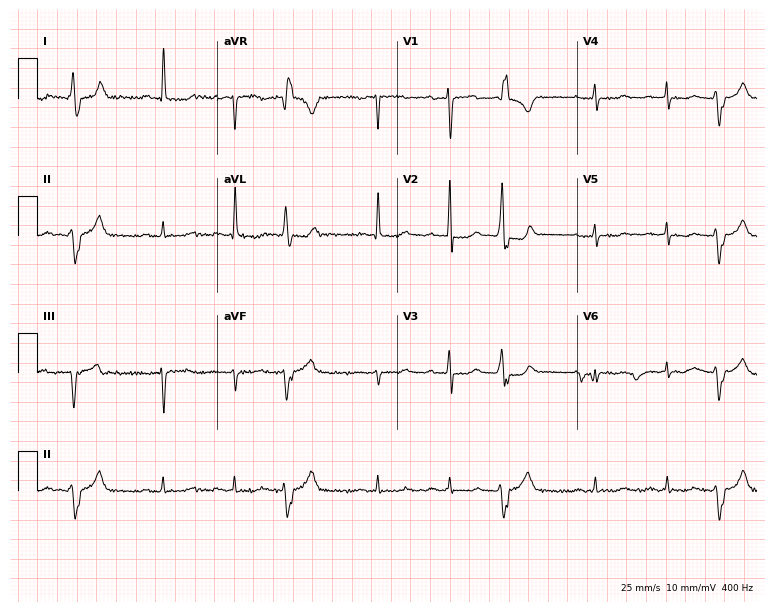
Standard 12-lead ECG recorded from a female patient, 72 years old. None of these six findings is recorded: first-degree AV block, right bundle branch block, left bundle branch block, sinus bradycardia, atrial fibrillation, sinus tachycardia. Only these six findings were labelled.